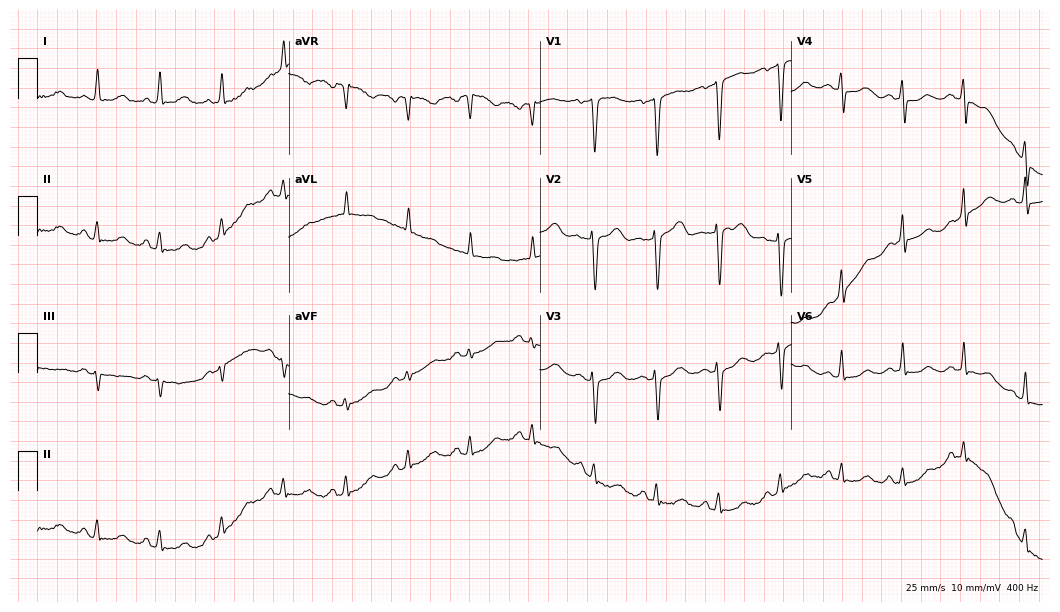
12-lead ECG from a 52-year-old female. No first-degree AV block, right bundle branch block (RBBB), left bundle branch block (LBBB), sinus bradycardia, atrial fibrillation (AF) or sinus tachycardia recorded for this tracing.